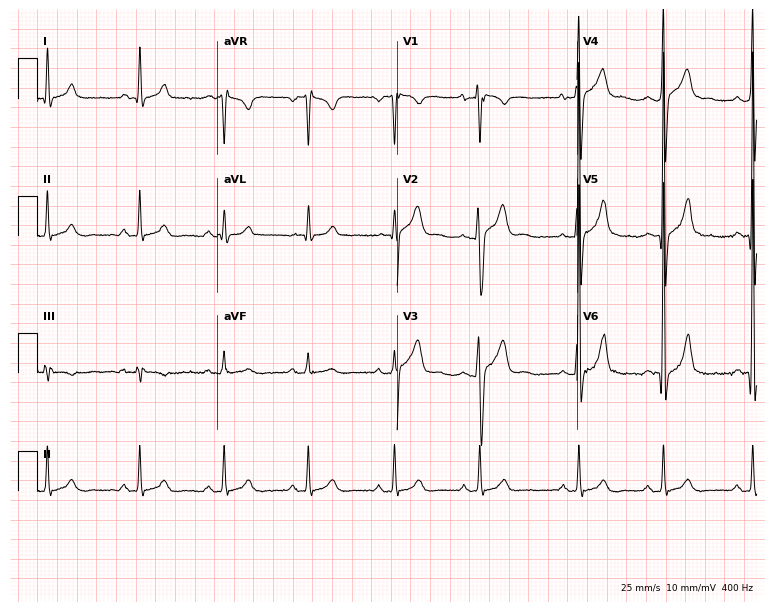
12-lead ECG from a male, 25 years old (7.3-second recording at 400 Hz). Recorded interpretation: within normal limits.